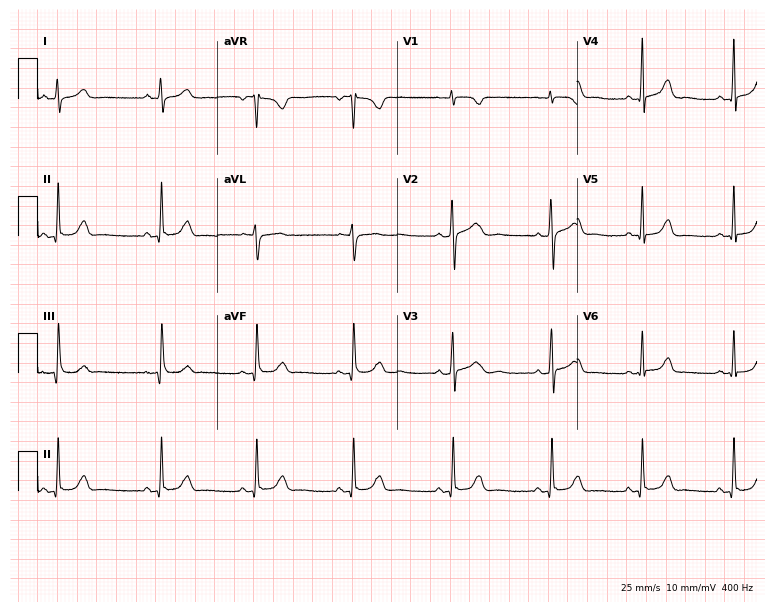
Resting 12-lead electrocardiogram. Patient: a female, 26 years old. Read as a normal ECG.